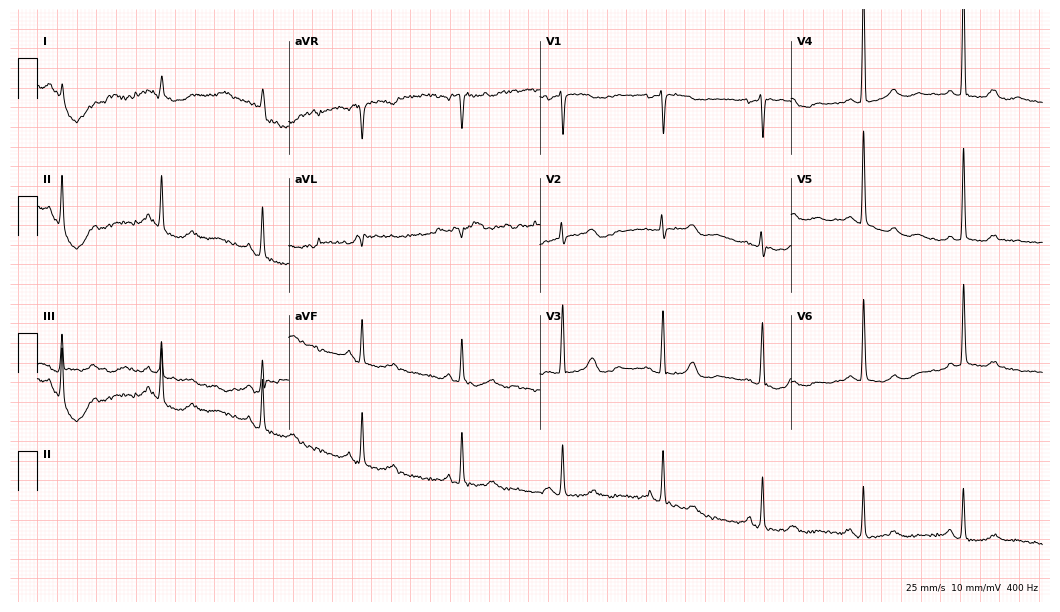
Standard 12-lead ECG recorded from a female, 82 years old (10.2-second recording at 400 Hz). None of these six findings is recorded: first-degree AV block, right bundle branch block, left bundle branch block, sinus bradycardia, atrial fibrillation, sinus tachycardia. Other findings, if any, are not listed.